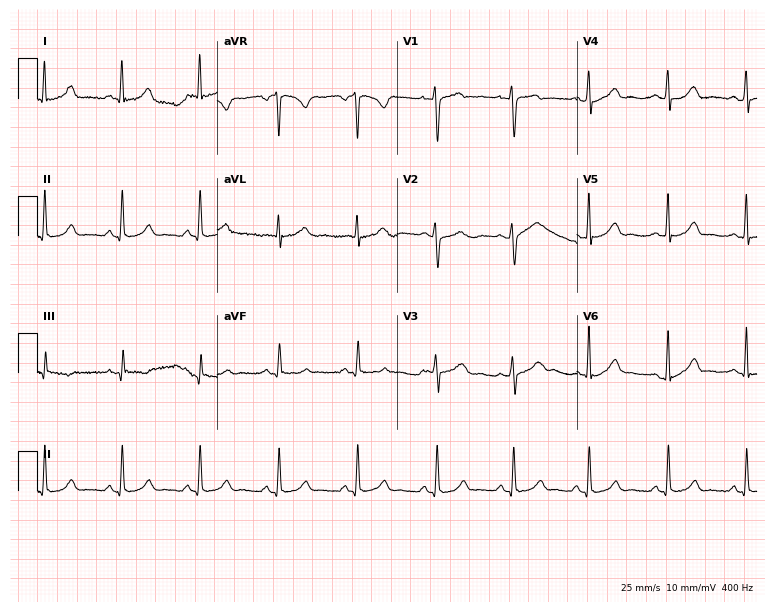
12-lead ECG from a female, 37 years old. Recorded interpretation: within normal limits.